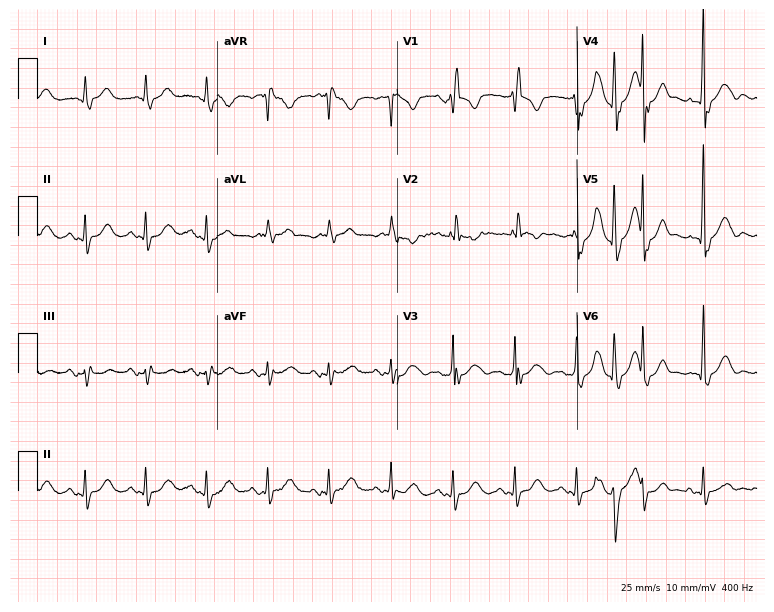
Resting 12-lead electrocardiogram. Patient: a 73-year-old male. The tracing shows right bundle branch block.